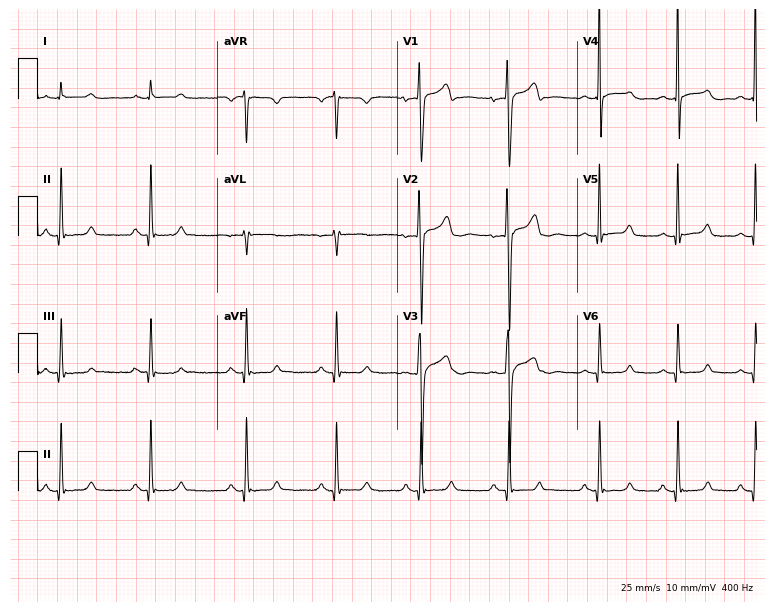
ECG (7.3-second recording at 400 Hz) — a male, 23 years old. Labelled as a normal ECG.